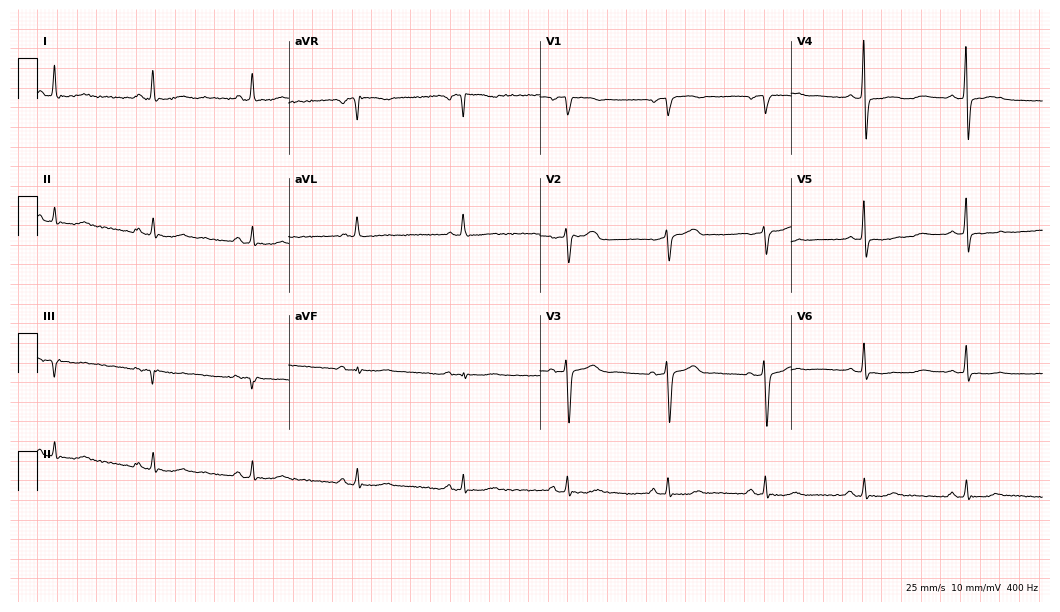
Electrocardiogram (10.2-second recording at 400 Hz), a 64-year-old woman. Of the six screened findings (first-degree AV block, right bundle branch block, left bundle branch block, sinus bradycardia, atrial fibrillation, sinus tachycardia), none is recorded.